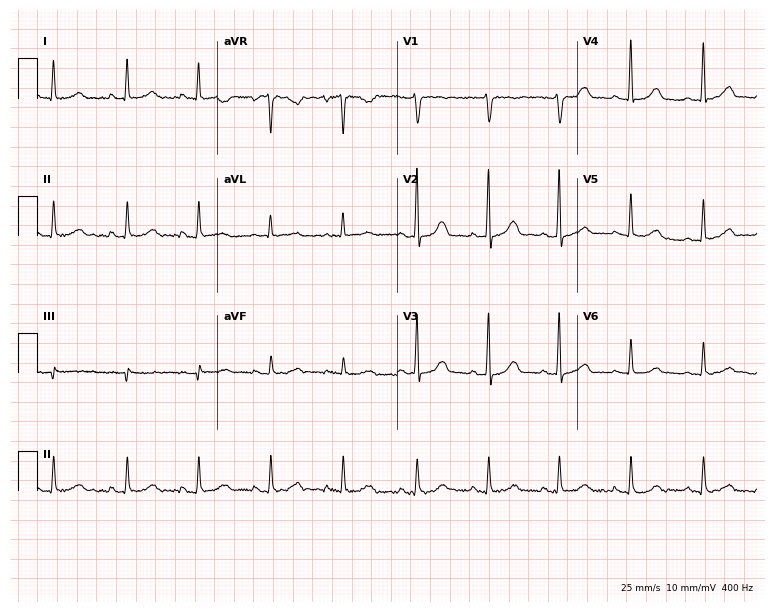
Resting 12-lead electrocardiogram. Patient: a woman, 46 years old. Read as a normal ECG.